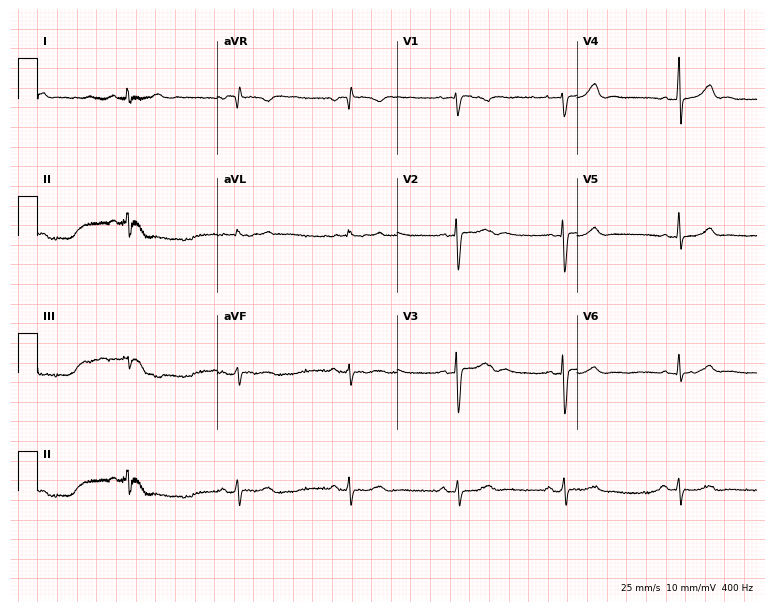
Resting 12-lead electrocardiogram. Patient: a female, 30 years old. Read as a normal ECG.